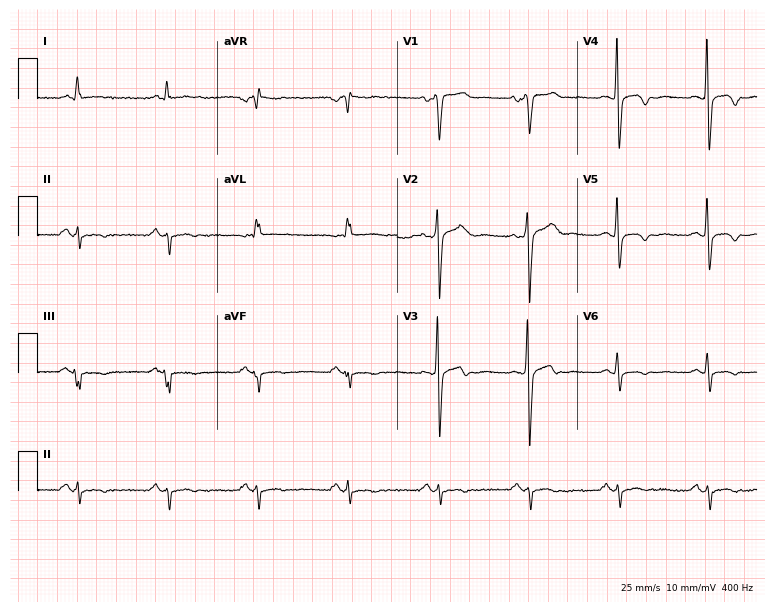
12-lead ECG (7.3-second recording at 400 Hz) from a man, 68 years old. Screened for six findings — first-degree AV block, right bundle branch block (RBBB), left bundle branch block (LBBB), sinus bradycardia, atrial fibrillation (AF), sinus tachycardia — none is recorded.